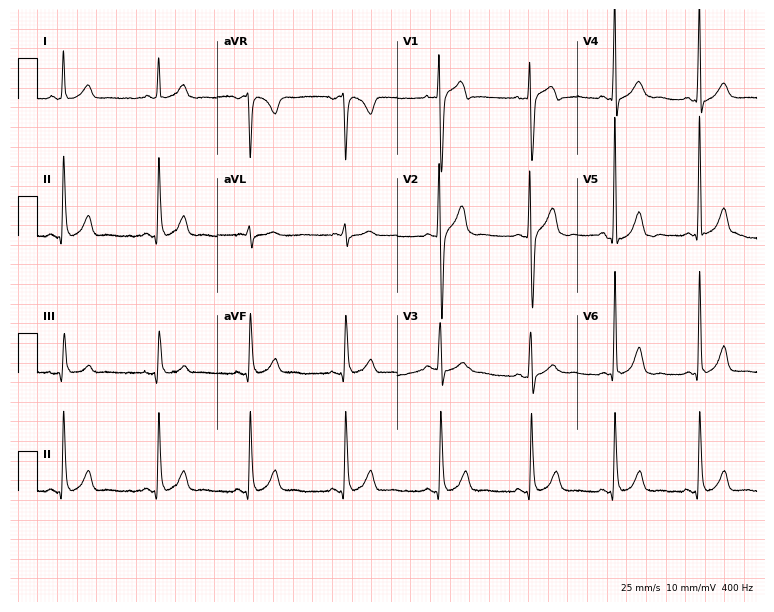
Standard 12-lead ECG recorded from a 23-year-old male patient. Read as a normal ECG.